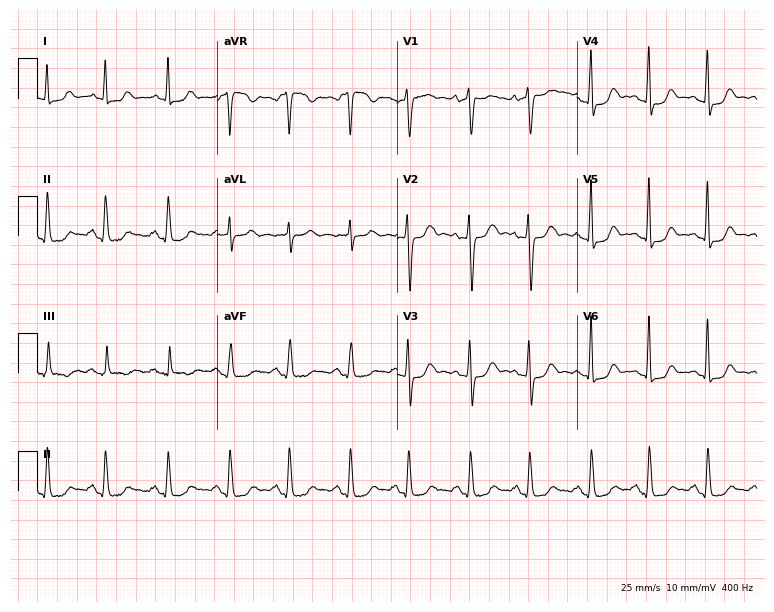
ECG — a 31-year-old woman. Screened for six findings — first-degree AV block, right bundle branch block (RBBB), left bundle branch block (LBBB), sinus bradycardia, atrial fibrillation (AF), sinus tachycardia — none is recorded. Only these six findings were labelled.